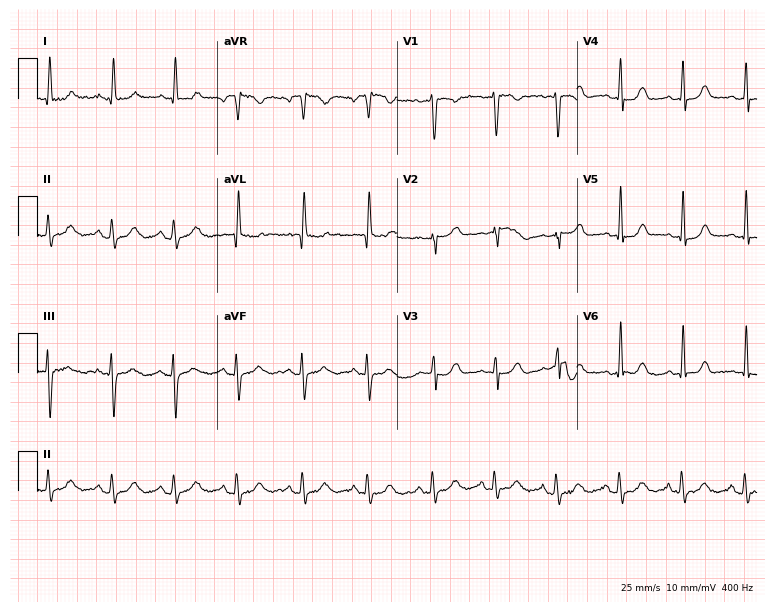
ECG (7.3-second recording at 400 Hz) — a 48-year-old female. Labelled as a normal ECG.